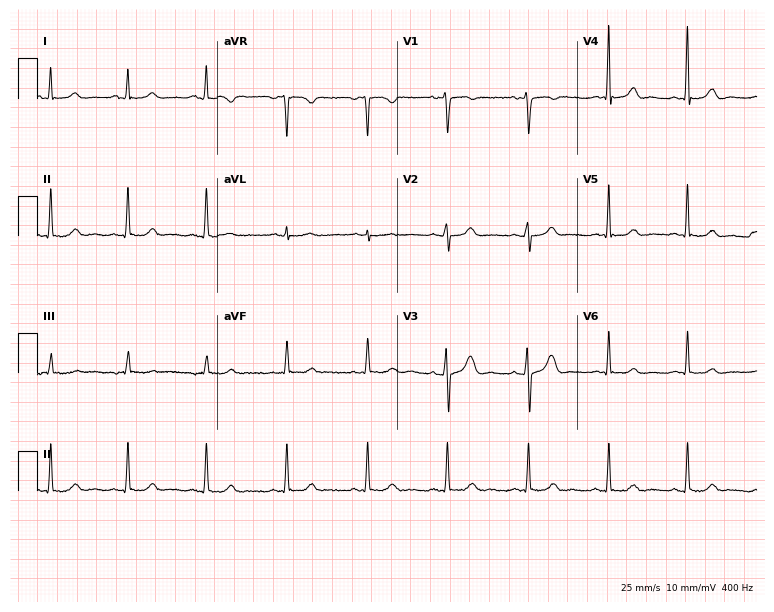
12-lead ECG from a female patient, 32 years old. Labelled as a normal ECG.